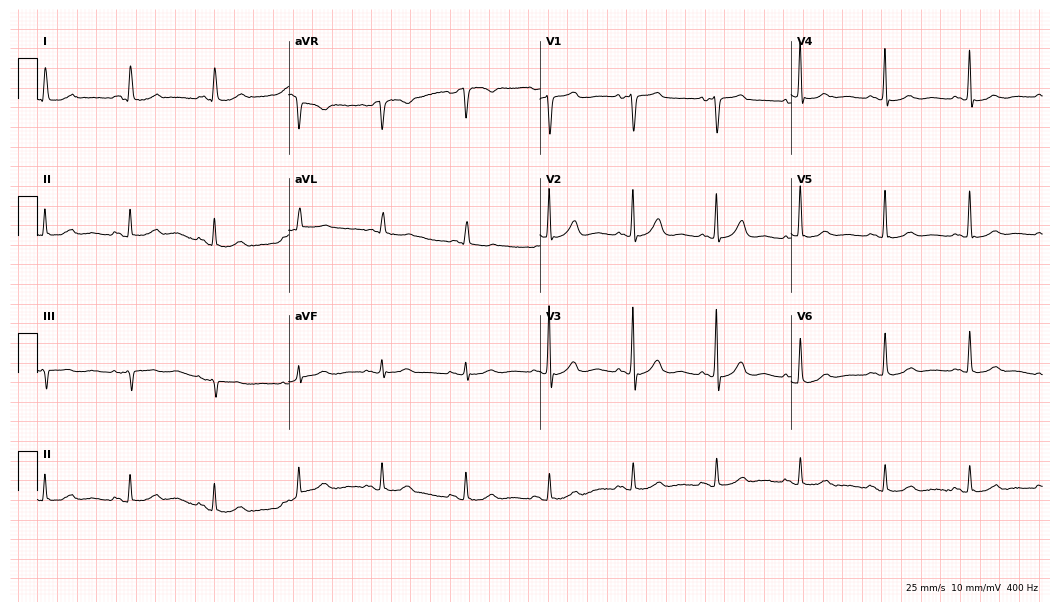
Resting 12-lead electrocardiogram (10.2-second recording at 400 Hz). Patient: a 78-year-old female. Read as a normal ECG.